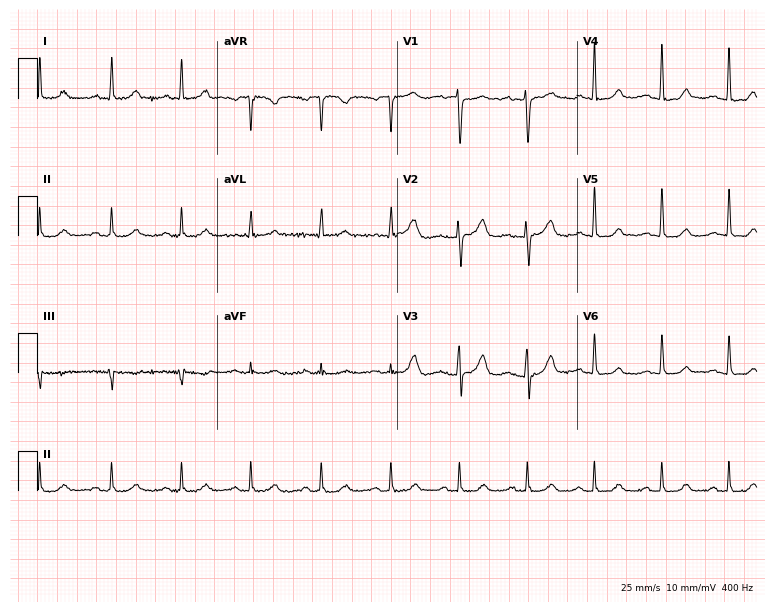
Standard 12-lead ECG recorded from a female patient, 72 years old (7.3-second recording at 400 Hz). Read as a normal ECG.